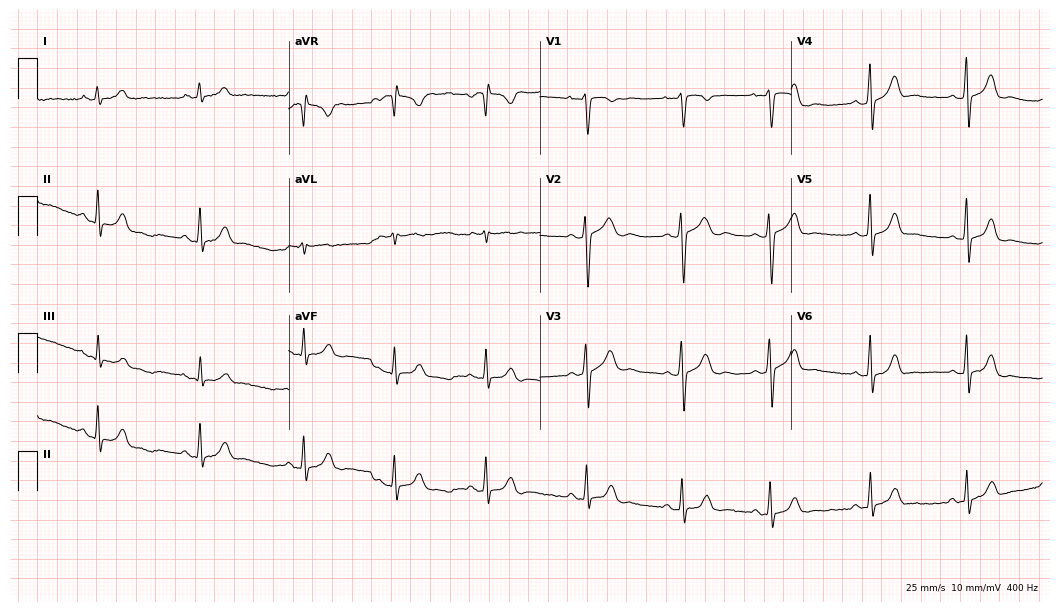
12-lead ECG from a 20-year-old female patient. Recorded interpretation: within normal limits.